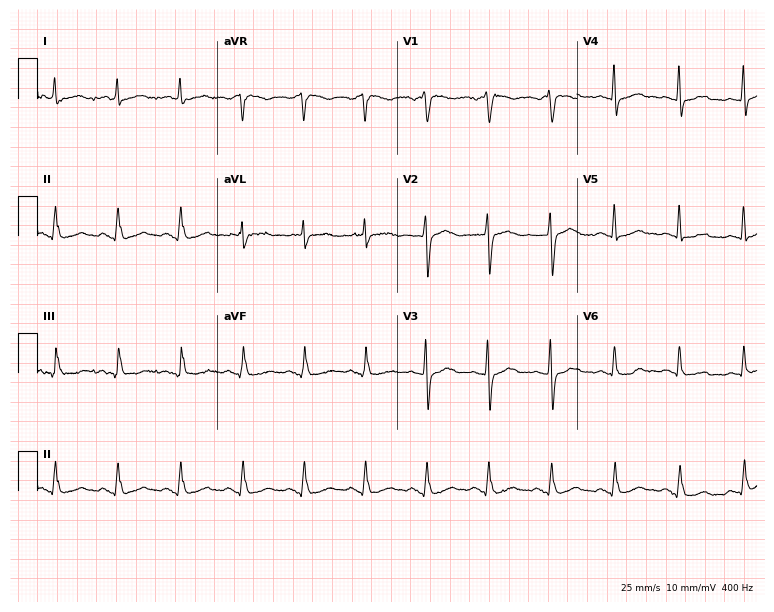
ECG — a 66-year-old male patient. Screened for six findings — first-degree AV block, right bundle branch block (RBBB), left bundle branch block (LBBB), sinus bradycardia, atrial fibrillation (AF), sinus tachycardia — none is recorded.